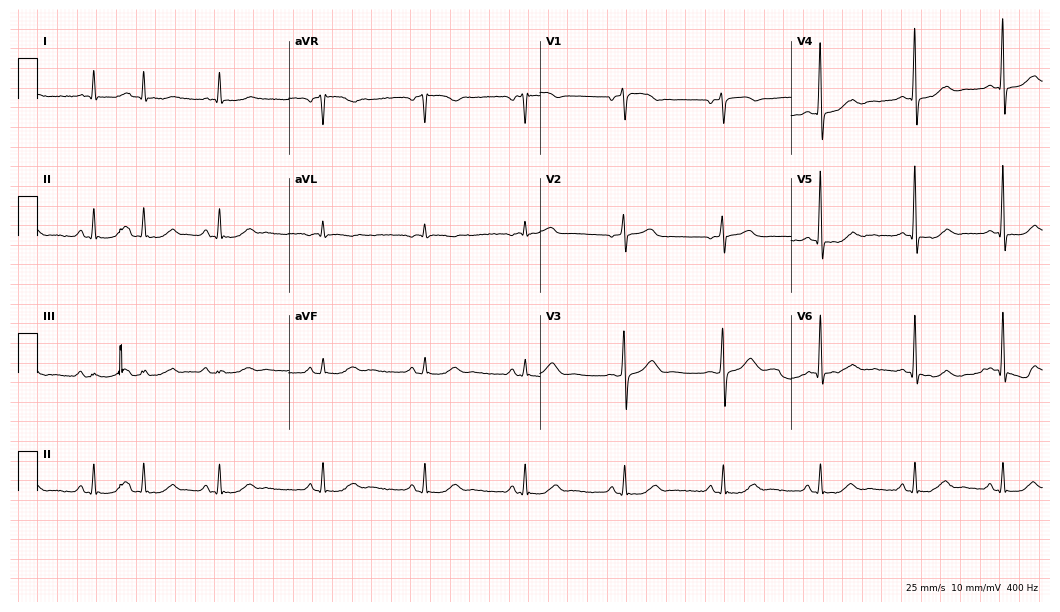
ECG — a male, 67 years old. Screened for six findings — first-degree AV block, right bundle branch block (RBBB), left bundle branch block (LBBB), sinus bradycardia, atrial fibrillation (AF), sinus tachycardia — none is recorded.